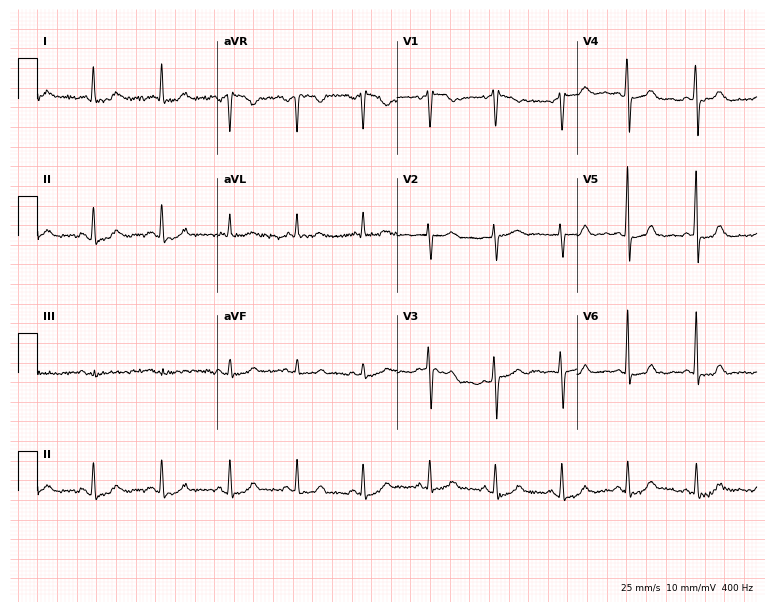
Resting 12-lead electrocardiogram (7.3-second recording at 400 Hz). Patient: a woman, 49 years old. None of these six findings is recorded: first-degree AV block, right bundle branch block, left bundle branch block, sinus bradycardia, atrial fibrillation, sinus tachycardia.